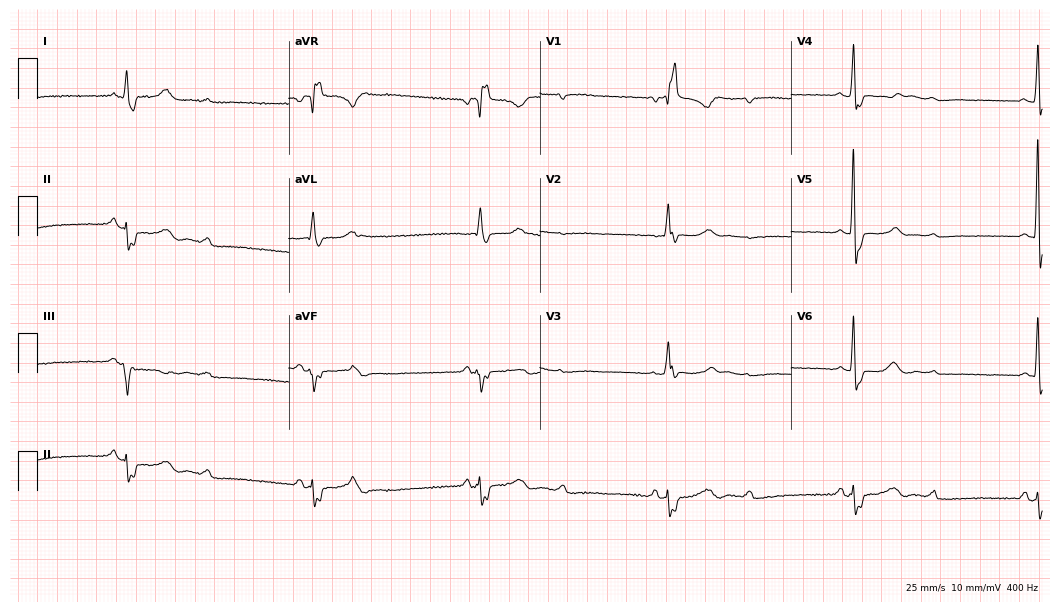
12-lead ECG (10.2-second recording at 400 Hz) from a 66-year-old female patient. Screened for six findings — first-degree AV block, right bundle branch block, left bundle branch block, sinus bradycardia, atrial fibrillation, sinus tachycardia — none is recorded. Only these six findings were labelled.